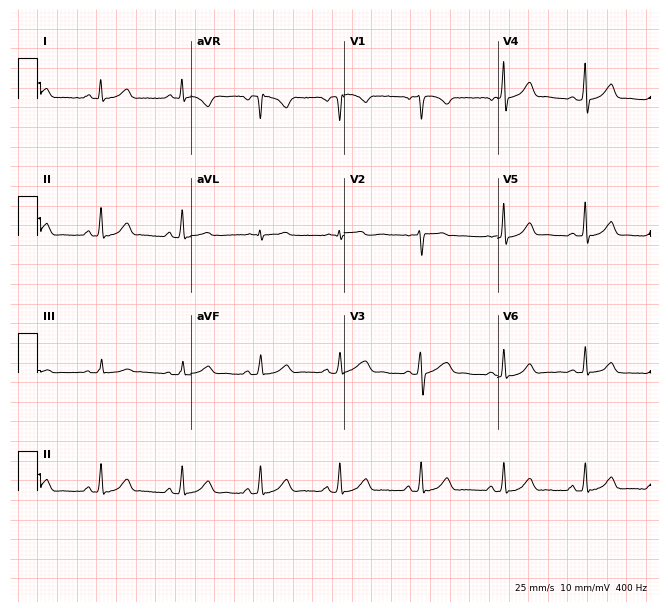
ECG — a woman, 26 years old. Screened for six findings — first-degree AV block, right bundle branch block (RBBB), left bundle branch block (LBBB), sinus bradycardia, atrial fibrillation (AF), sinus tachycardia — none is recorded. Findings outside these six are not listed.